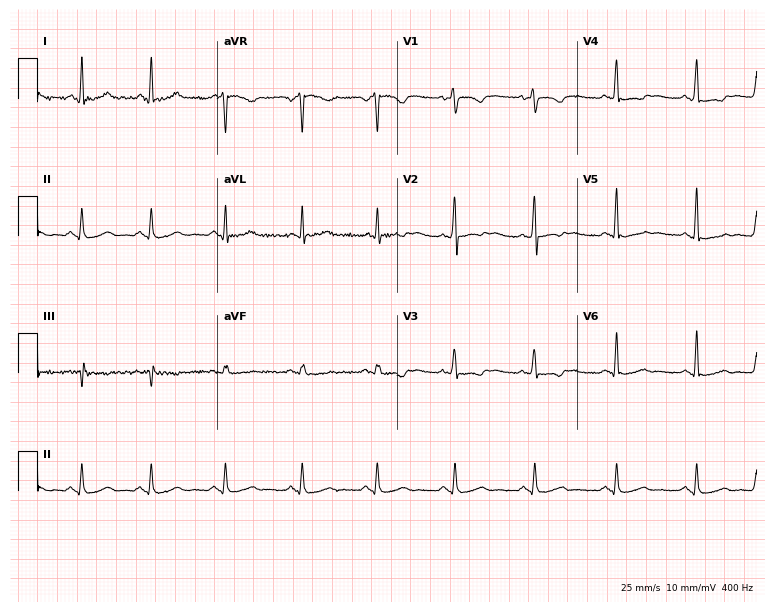
ECG — a female, 42 years old. Screened for six findings — first-degree AV block, right bundle branch block, left bundle branch block, sinus bradycardia, atrial fibrillation, sinus tachycardia — none is recorded.